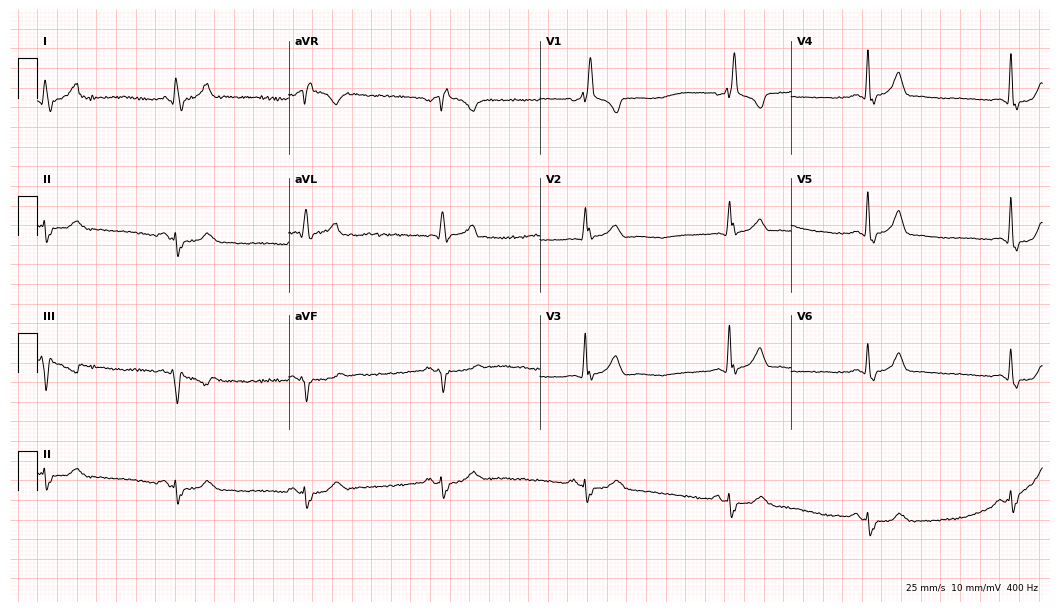
Standard 12-lead ECG recorded from a male patient, 79 years old. The tracing shows right bundle branch block (RBBB), sinus bradycardia (a sinus rate of 50 beats per minute or less).